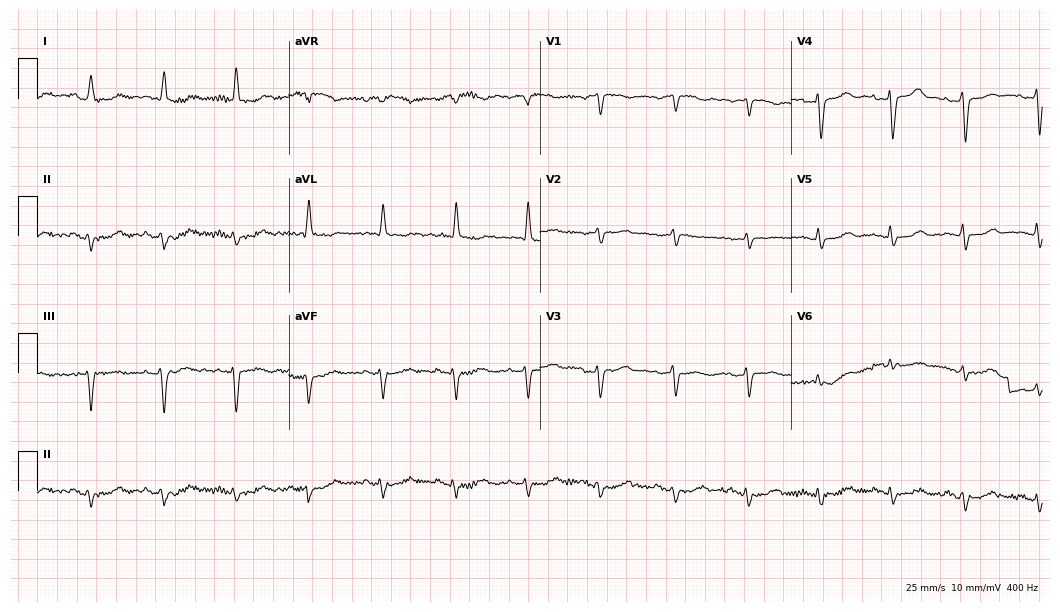
12-lead ECG from an 80-year-old female. Screened for six findings — first-degree AV block, right bundle branch block, left bundle branch block, sinus bradycardia, atrial fibrillation, sinus tachycardia — none is recorded. Only these six findings were labelled.